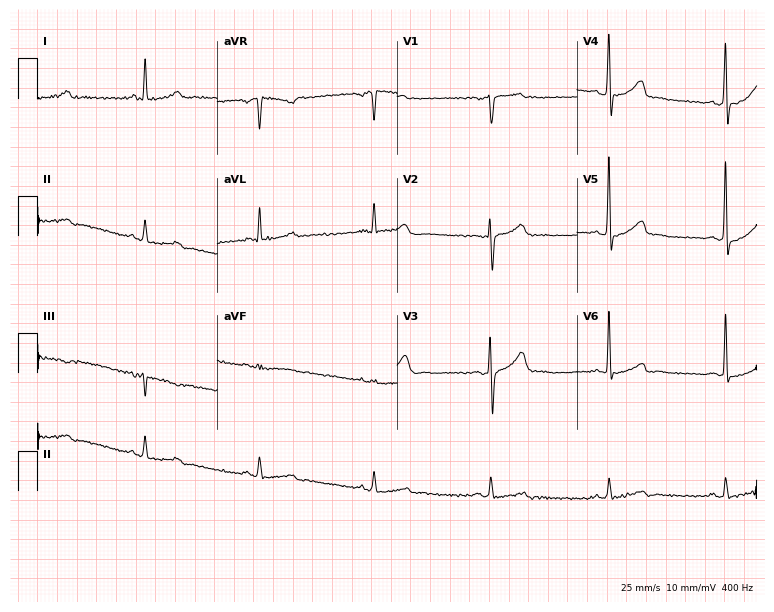
Electrocardiogram (7.3-second recording at 400 Hz), a man, 73 years old. Of the six screened findings (first-degree AV block, right bundle branch block (RBBB), left bundle branch block (LBBB), sinus bradycardia, atrial fibrillation (AF), sinus tachycardia), none is recorded.